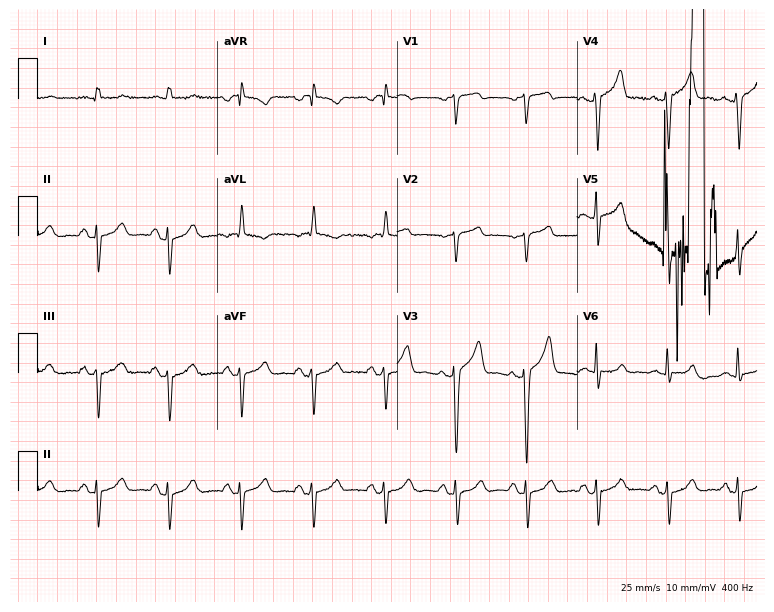
ECG — a male patient, 80 years old. Screened for six findings — first-degree AV block, right bundle branch block, left bundle branch block, sinus bradycardia, atrial fibrillation, sinus tachycardia — none is recorded. Only these six findings were labelled.